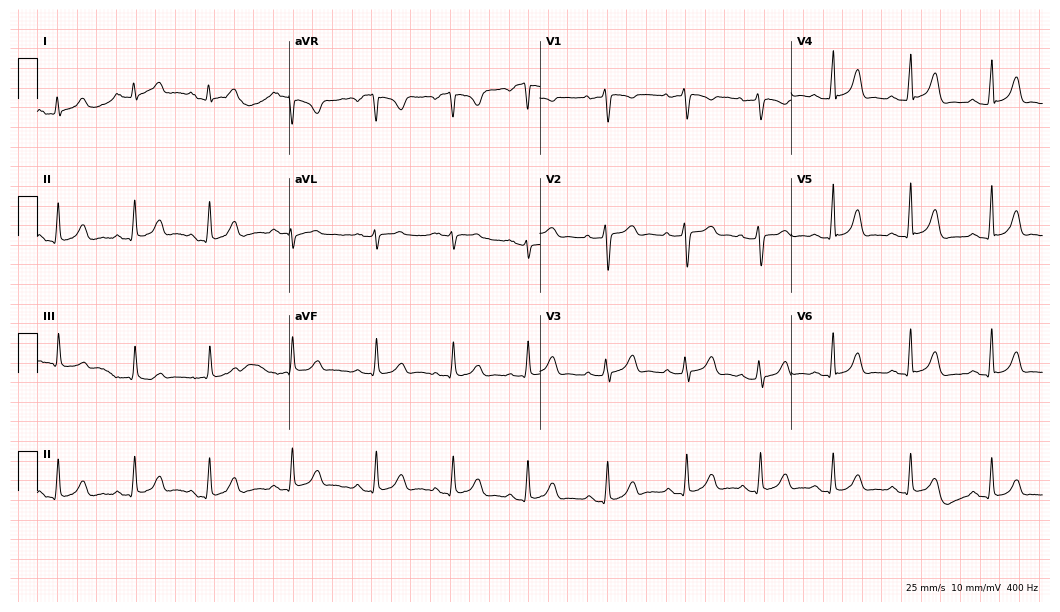
12-lead ECG (10.2-second recording at 400 Hz) from a 28-year-old woman. Labelled as a normal ECG.